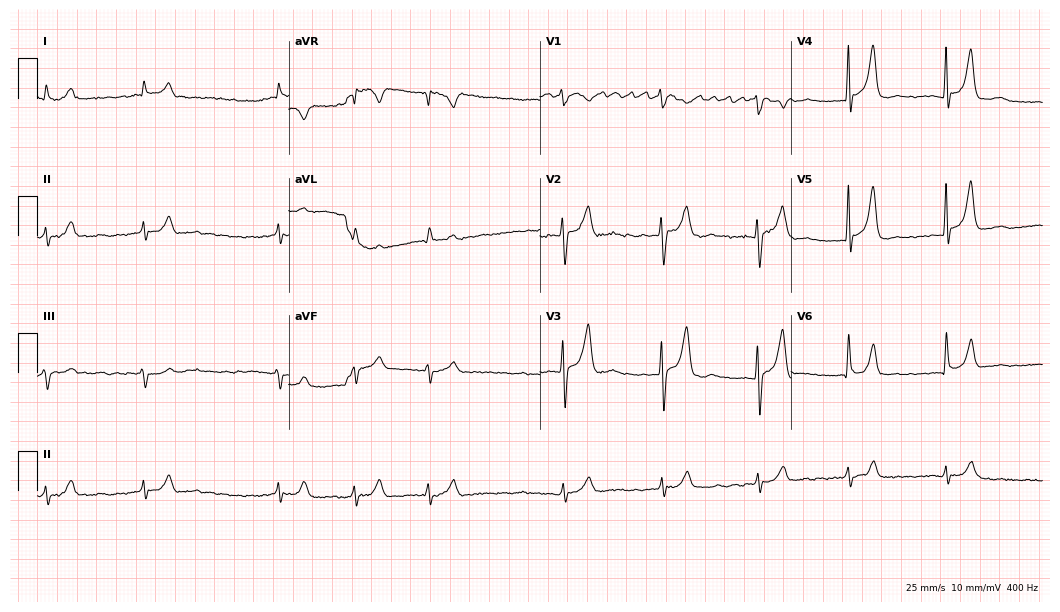
12-lead ECG from an 82-year-old male (10.2-second recording at 400 Hz). Shows atrial fibrillation.